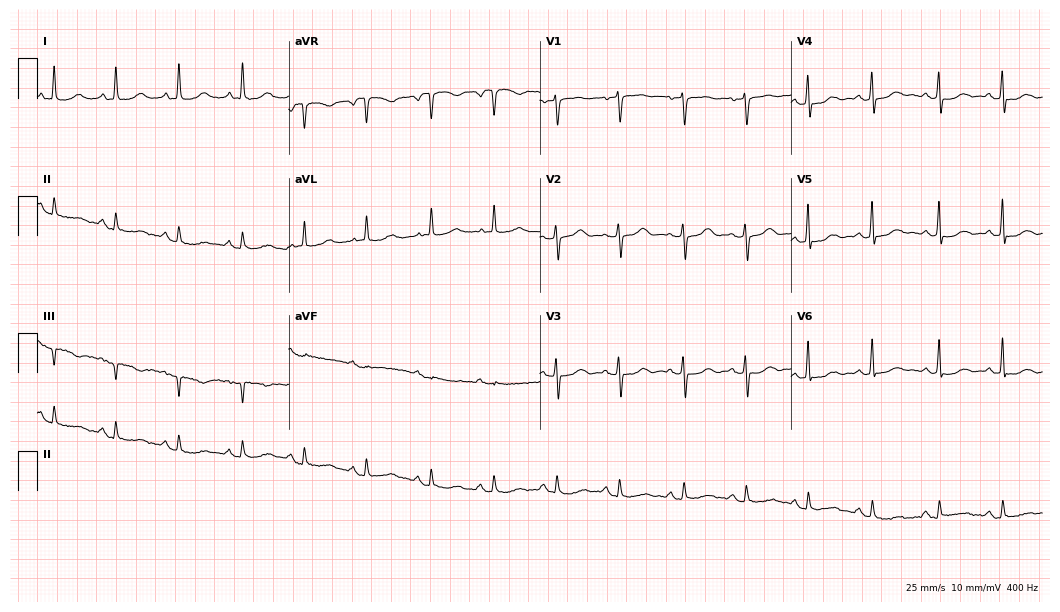
Standard 12-lead ECG recorded from a woman, 63 years old. Read as a normal ECG.